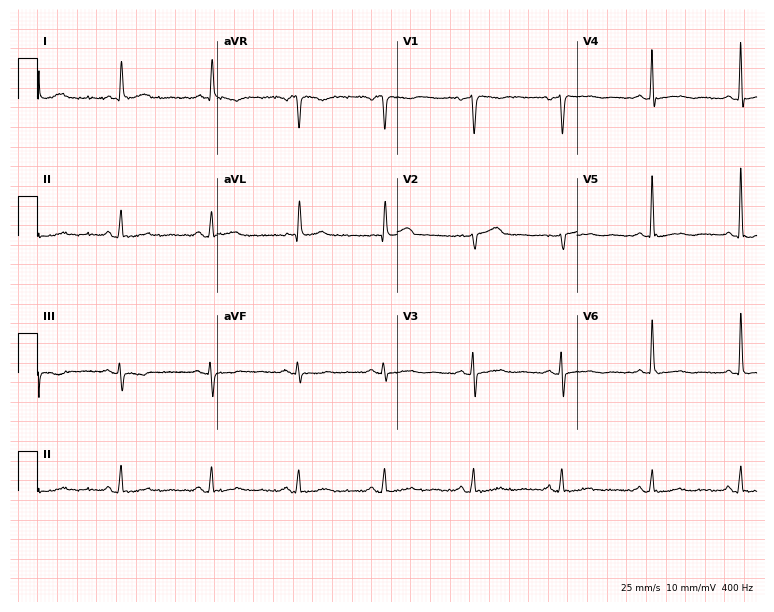
Resting 12-lead electrocardiogram. Patient: a 54-year-old female. None of these six findings is recorded: first-degree AV block, right bundle branch block, left bundle branch block, sinus bradycardia, atrial fibrillation, sinus tachycardia.